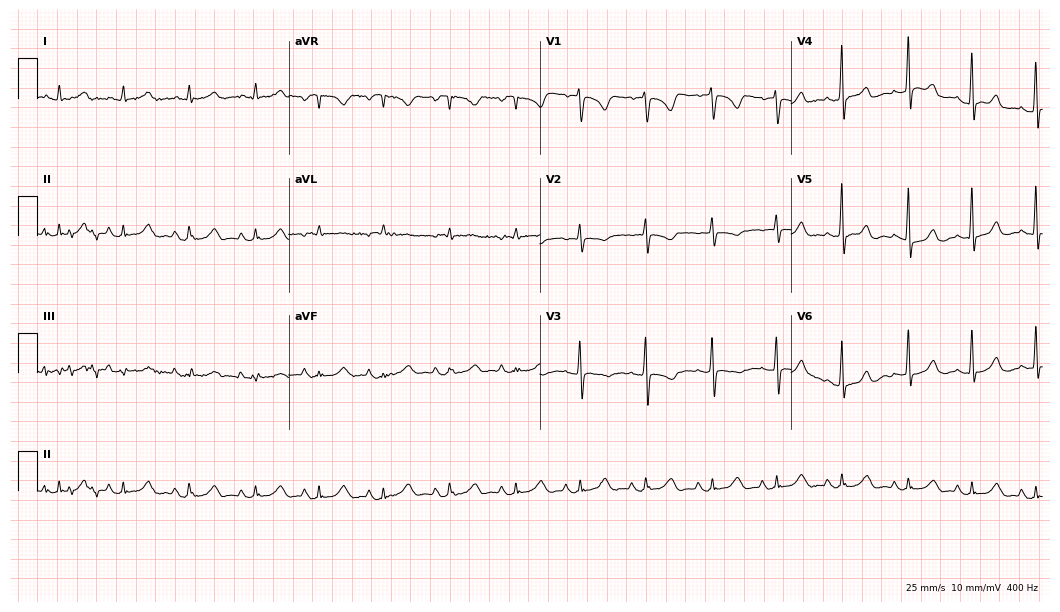
Resting 12-lead electrocardiogram. Patient: a woman, 73 years old. None of these six findings is recorded: first-degree AV block, right bundle branch block, left bundle branch block, sinus bradycardia, atrial fibrillation, sinus tachycardia. Findings outside these six are not listed.